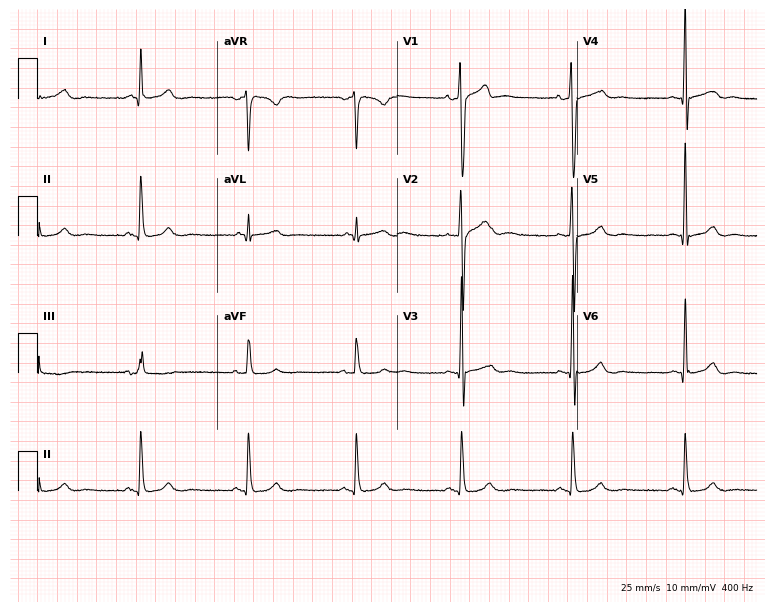
Electrocardiogram (7.3-second recording at 400 Hz), a 34-year-old male. Of the six screened findings (first-degree AV block, right bundle branch block, left bundle branch block, sinus bradycardia, atrial fibrillation, sinus tachycardia), none is recorded.